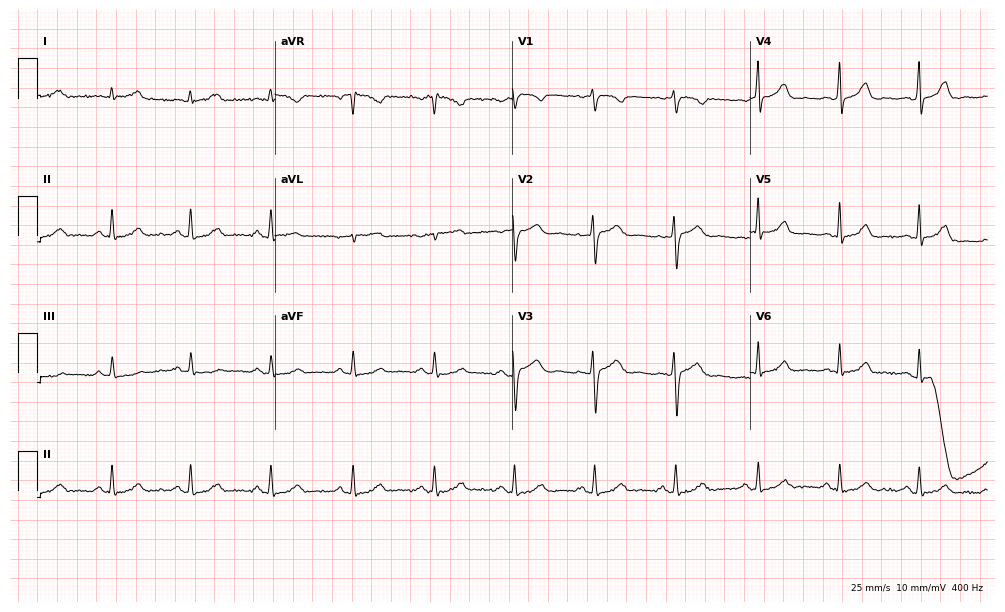
Electrocardiogram (9.7-second recording at 400 Hz), a woman, 44 years old. Overall reading on record: normal ECG.